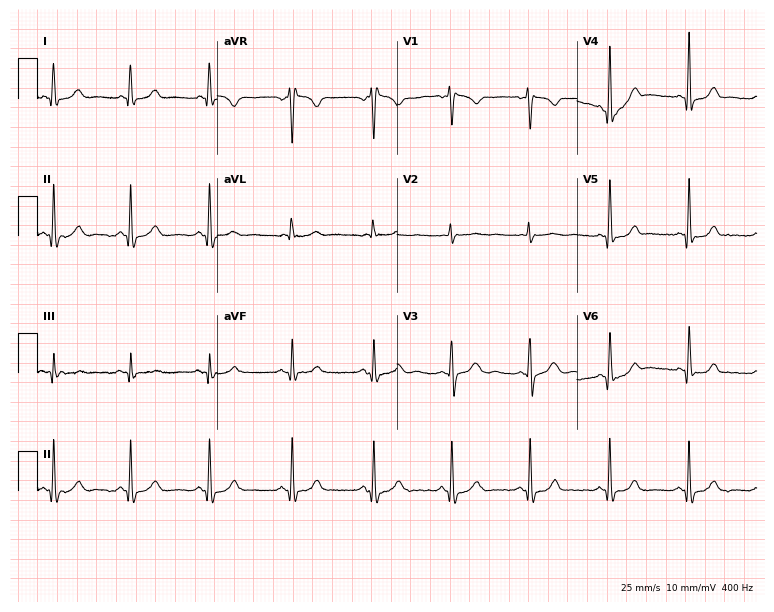
ECG (7.3-second recording at 400 Hz) — a 34-year-old woman. Labelled as a normal ECG.